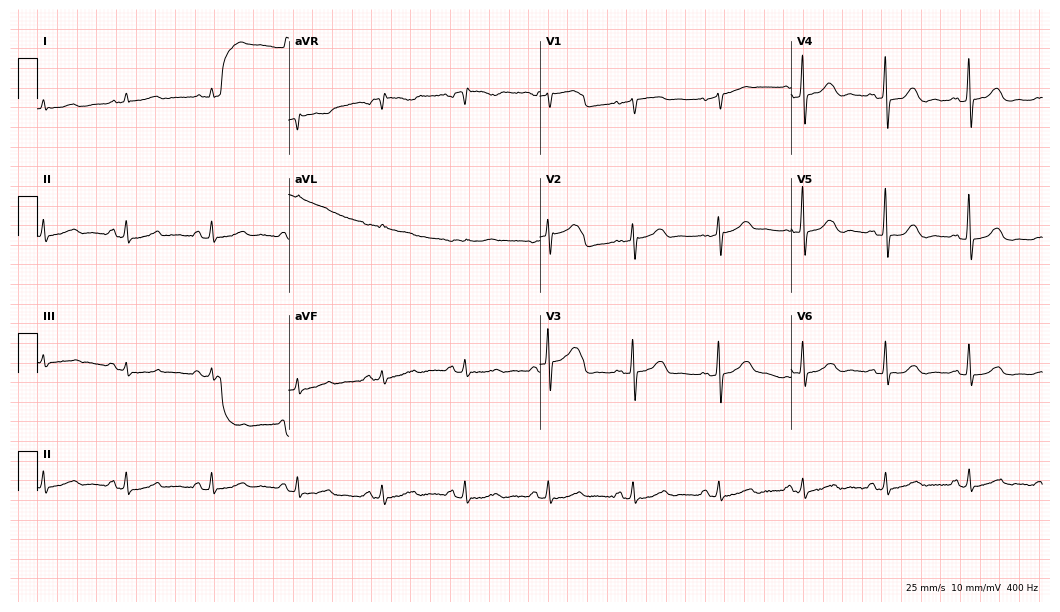
Standard 12-lead ECG recorded from a 64-year-old woman (10.2-second recording at 400 Hz). Read as a normal ECG.